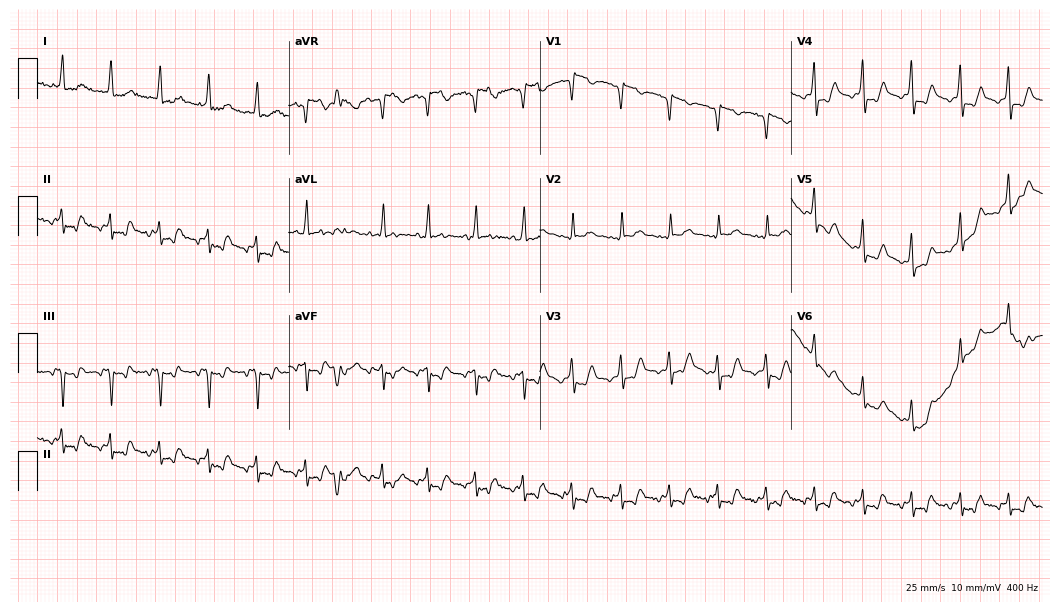
12-lead ECG (10.2-second recording at 400 Hz) from a male patient, 76 years old. Screened for six findings — first-degree AV block, right bundle branch block, left bundle branch block, sinus bradycardia, atrial fibrillation, sinus tachycardia — none is recorded.